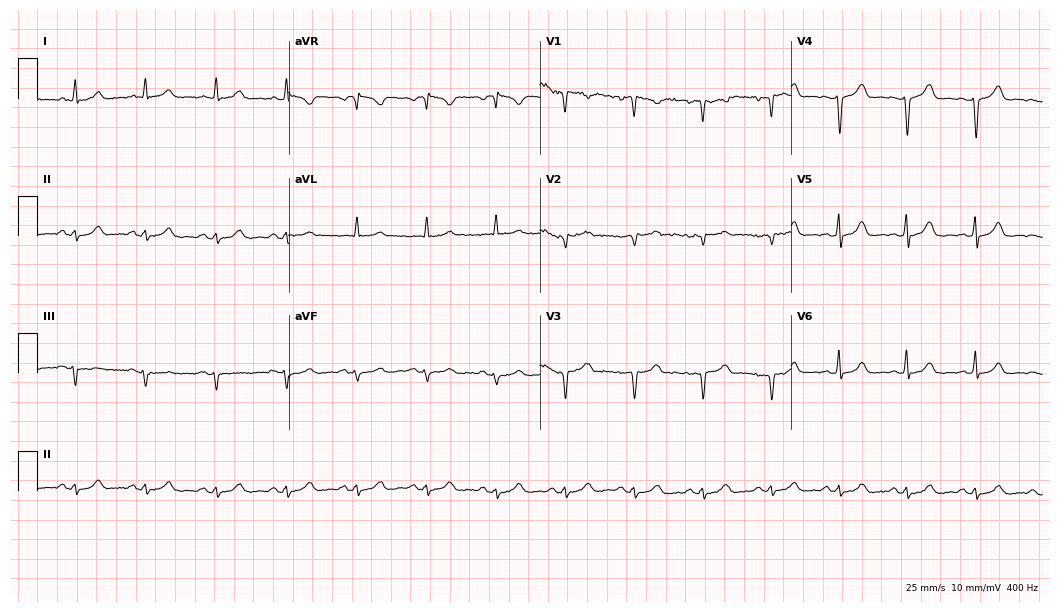
12-lead ECG from a woman, 45 years old (10.2-second recording at 400 Hz). No first-degree AV block, right bundle branch block (RBBB), left bundle branch block (LBBB), sinus bradycardia, atrial fibrillation (AF) or sinus tachycardia recorded for this tracing.